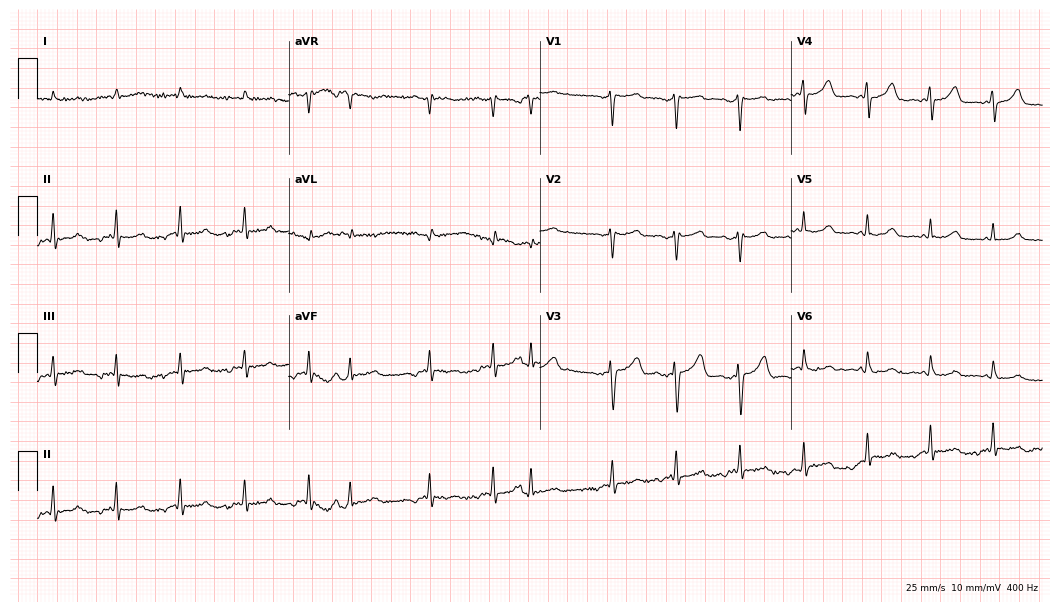
Standard 12-lead ECG recorded from a 77-year-old woman. None of these six findings is recorded: first-degree AV block, right bundle branch block (RBBB), left bundle branch block (LBBB), sinus bradycardia, atrial fibrillation (AF), sinus tachycardia.